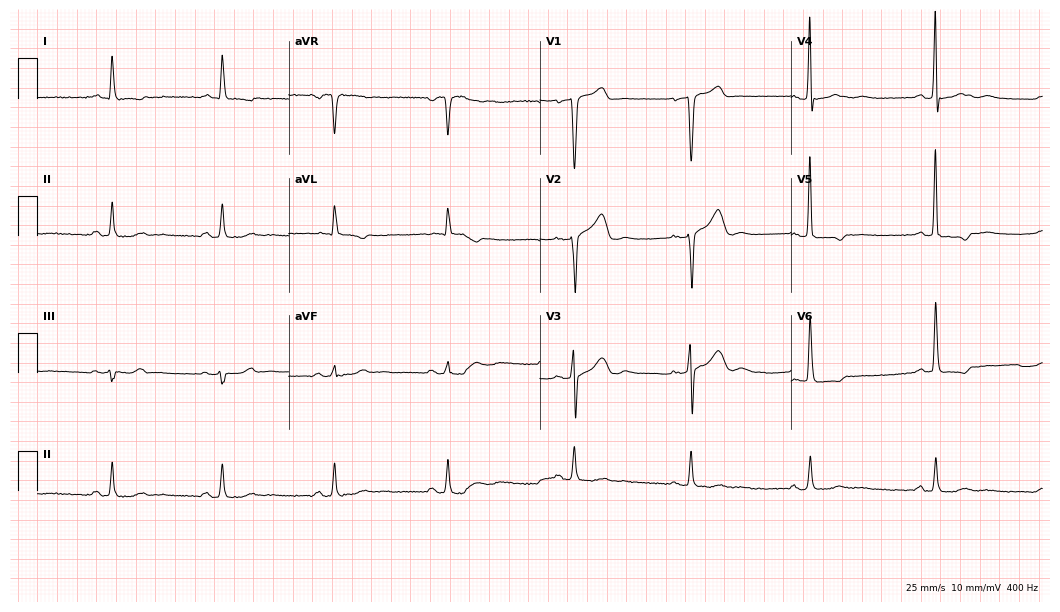
Resting 12-lead electrocardiogram (10.2-second recording at 400 Hz). Patient: a man, 81 years old. None of these six findings is recorded: first-degree AV block, right bundle branch block, left bundle branch block, sinus bradycardia, atrial fibrillation, sinus tachycardia. Only these six findings were labelled.